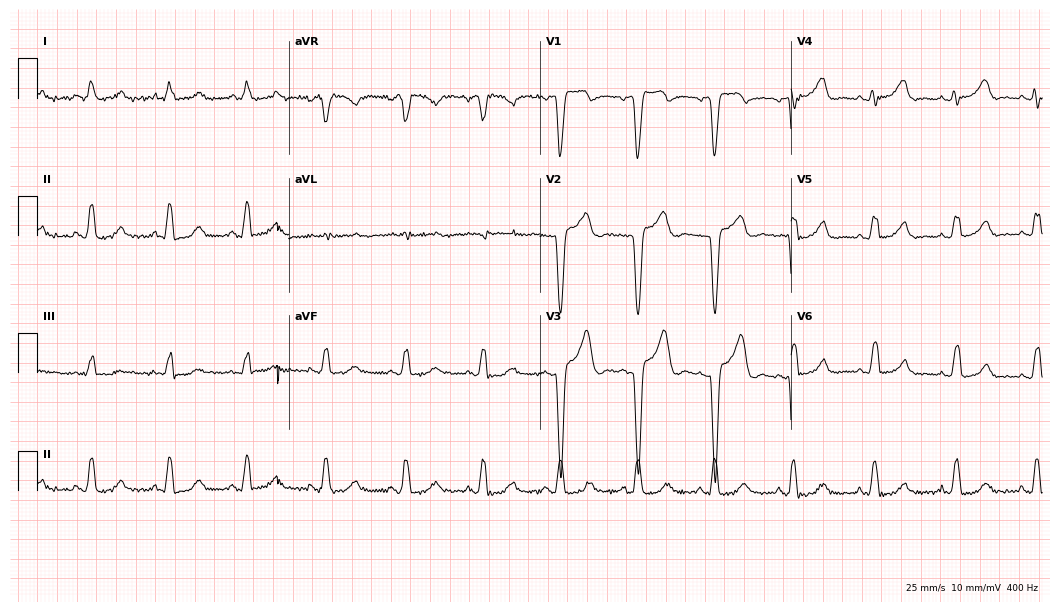
Standard 12-lead ECG recorded from a 47-year-old female patient. The tracing shows left bundle branch block (LBBB).